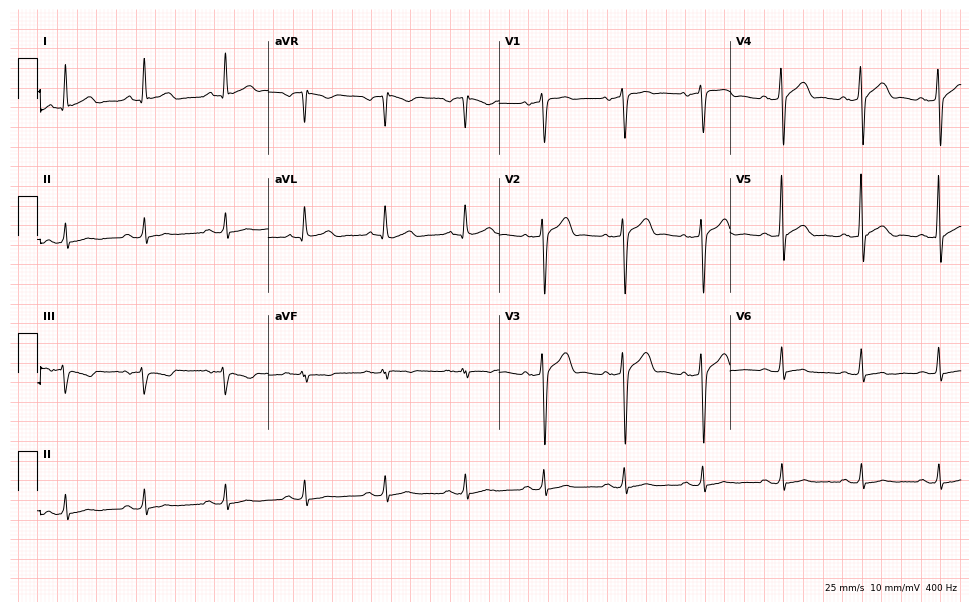
12-lead ECG from a male patient, 62 years old (9.4-second recording at 400 Hz). Recorded interpretation: within normal limits.